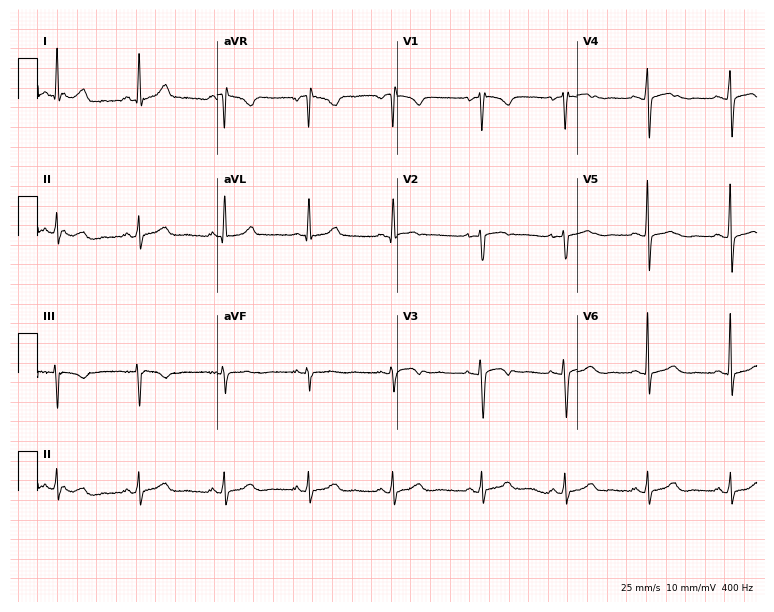
Electrocardiogram, a female patient, 43 years old. Of the six screened findings (first-degree AV block, right bundle branch block, left bundle branch block, sinus bradycardia, atrial fibrillation, sinus tachycardia), none is recorded.